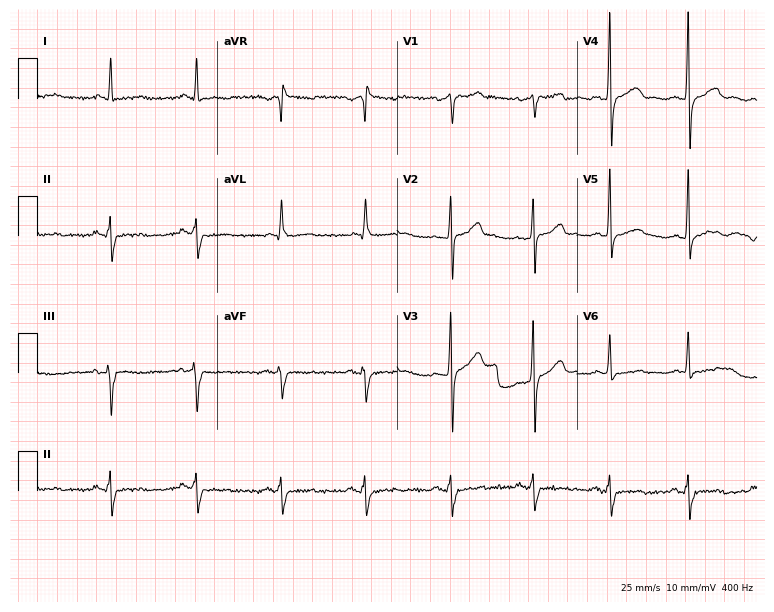
Electrocardiogram, a 62-year-old male patient. Of the six screened findings (first-degree AV block, right bundle branch block (RBBB), left bundle branch block (LBBB), sinus bradycardia, atrial fibrillation (AF), sinus tachycardia), none is recorded. Other findings, if any, are not listed.